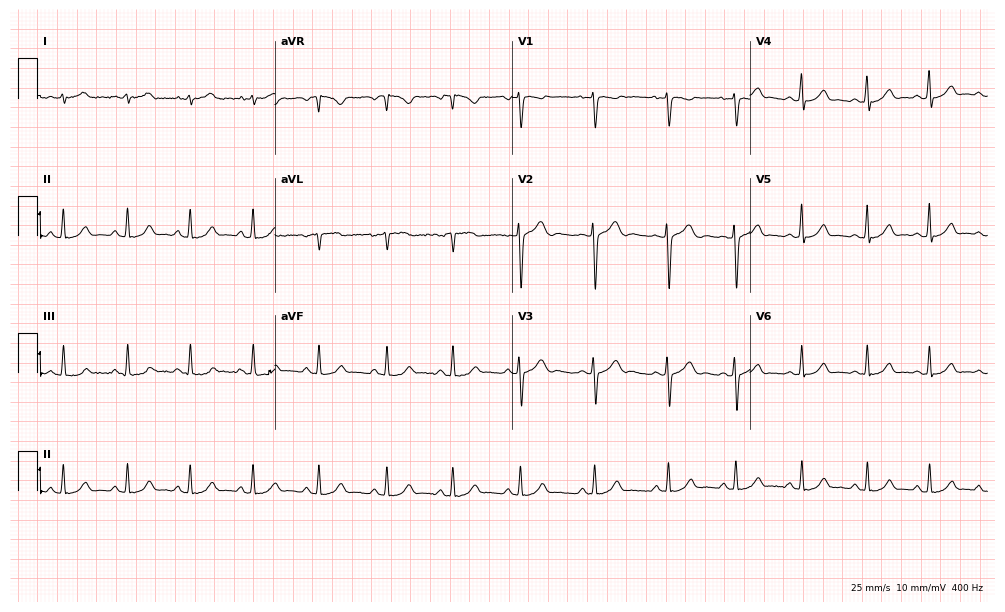
Electrocardiogram (9.7-second recording at 400 Hz), a 35-year-old male patient. Of the six screened findings (first-degree AV block, right bundle branch block (RBBB), left bundle branch block (LBBB), sinus bradycardia, atrial fibrillation (AF), sinus tachycardia), none is recorded. Other findings, if any, are not listed.